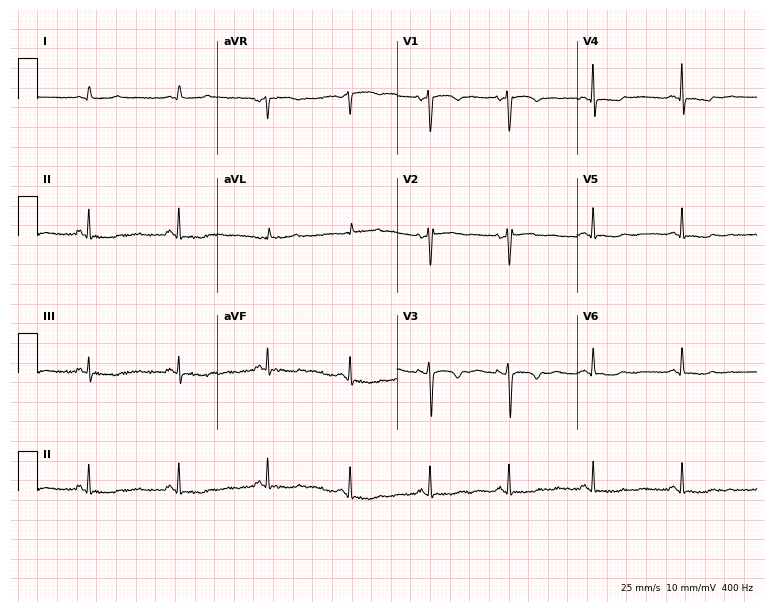
12-lead ECG from a female, 42 years old. No first-degree AV block, right bundle branch block (RBBB), left bundle branch block (LBBB), sinus bradycardia, atrial fibrillation (AF) or sinus tachycardia recorded for this tracing. Only these six findings were labelled.